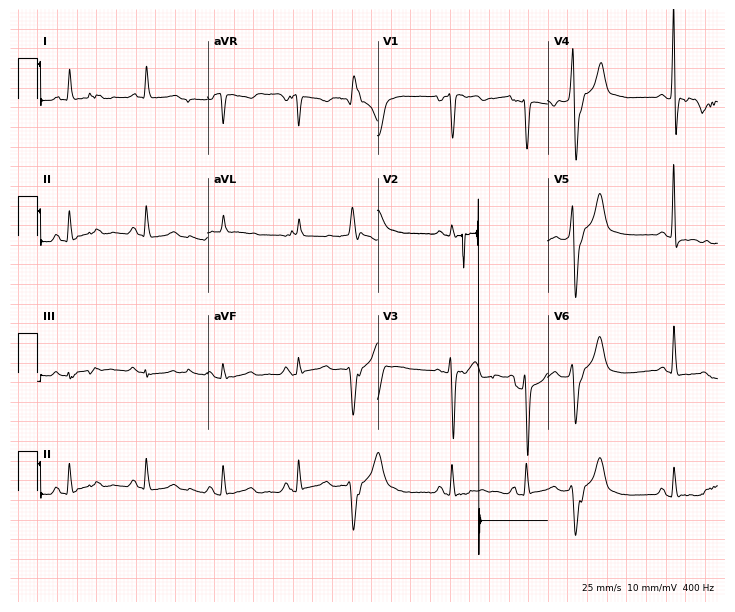
ECG (6.9-second recording at 400 Hz) — a woman, 80 years old. Screened for six findings — first-degree AV block, right bundle branch block, left bundle branch block, sinus bradycardia, atrial fibrillation, sinus tachycardia — none is recorded.